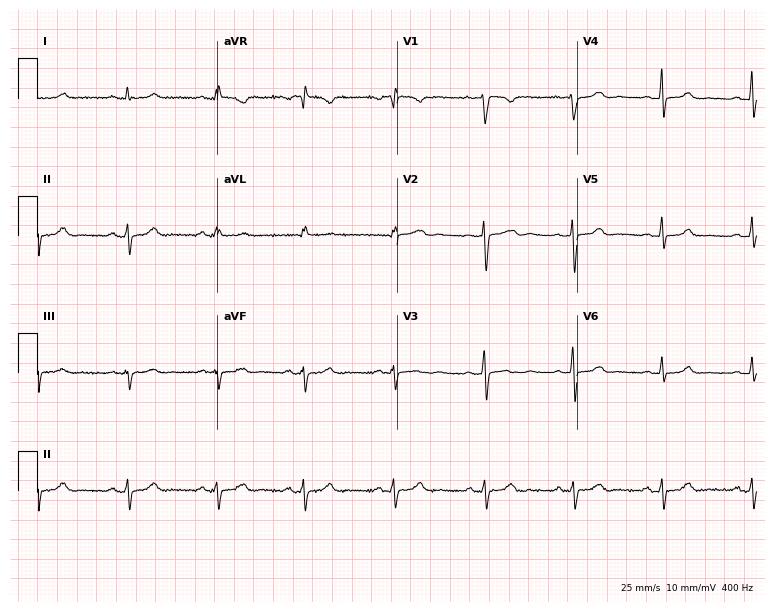
Resting 12-lead electrocardiogram (7.3-second recording at 400 Hz). Patient: a 28-year-old female. None of these six findings is recorded: first-degree AV block, right bundle branch block, left bundle branch block, sinus bradycardia, atrial fibrillation, sinus tachycardia.